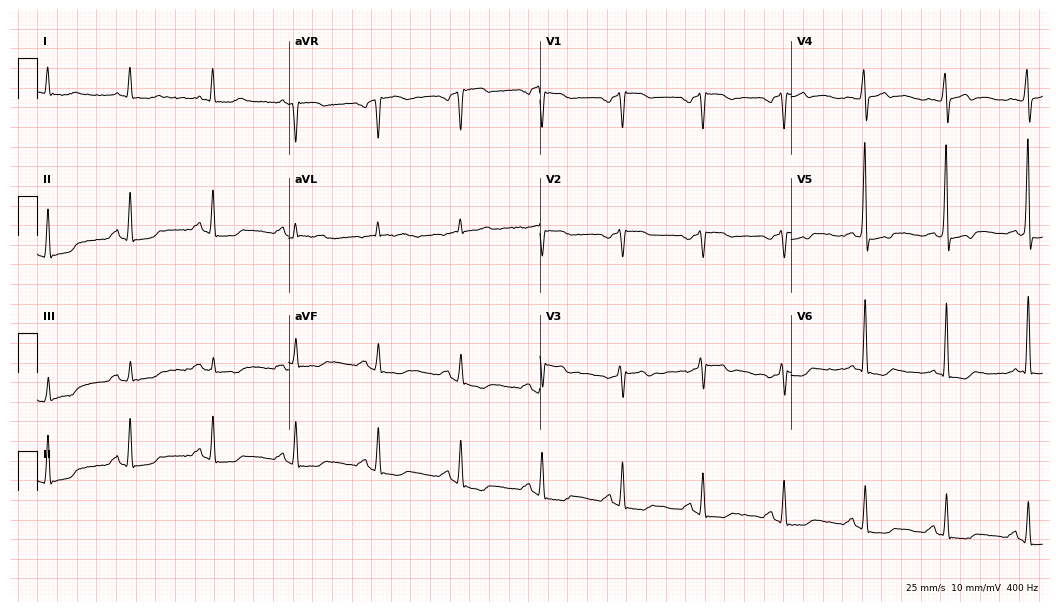
Resting 12-lead electrocardiogram (10.2-second recording at 400 Hz). Patient: a male, 72 years old. None of these six findings is recorded: first-degree AV block, right bundle branch block, left bundle branch block, sinus bradycardia, atrial fibrillation, sinus tachycardia.